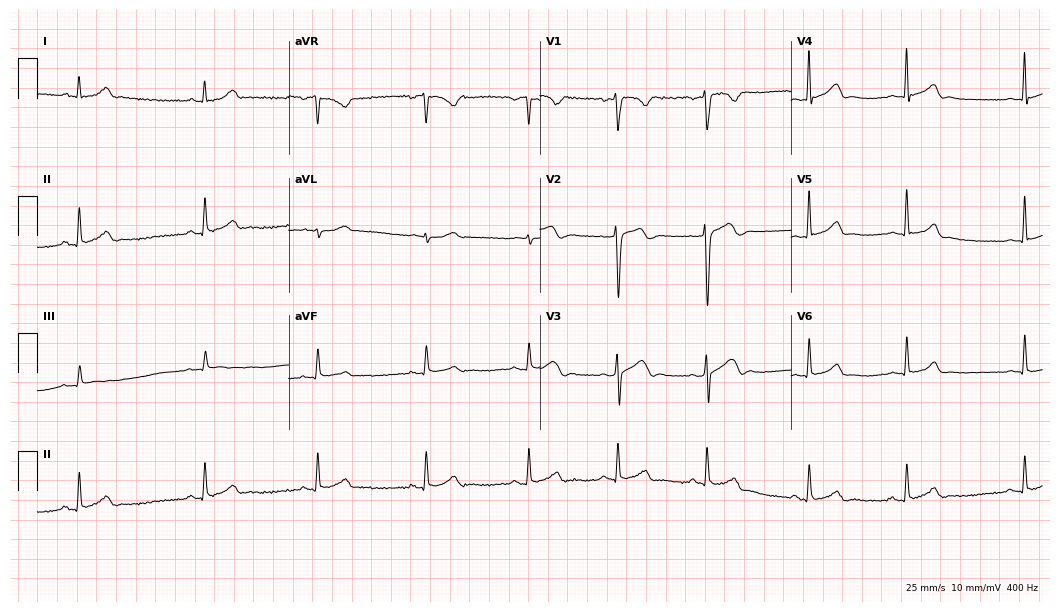
12-lead ECG (10.2-second recording at 400 Hz) from a man, 31 years old. Screened for six findings — first-degree AV block, right bundle branch block, left bundle branch block, sinus bradycardia, atrial fibrillation, sinus tachycardia — none is recorded.